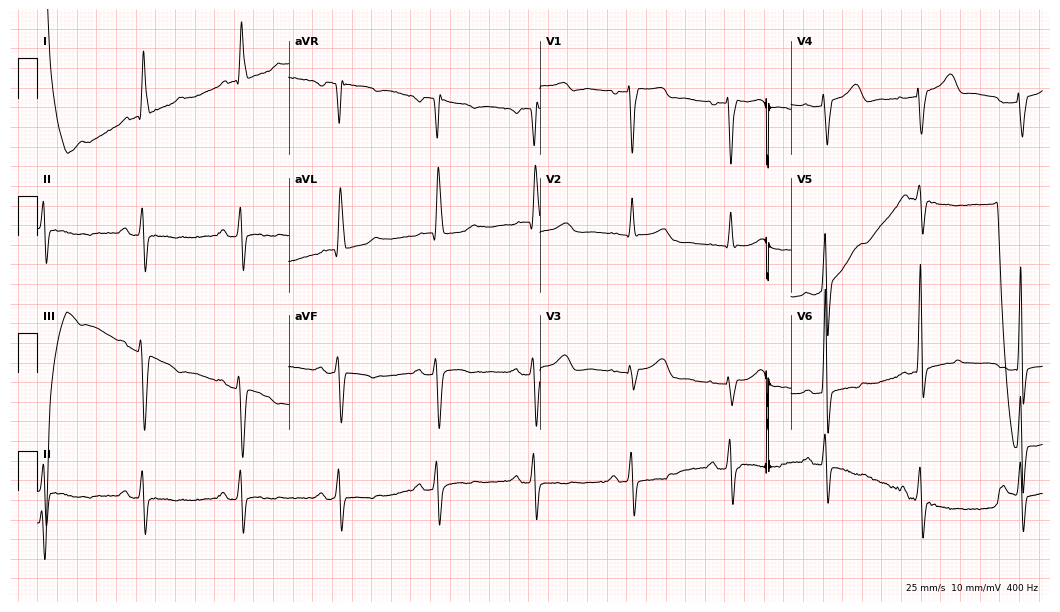
Electrocardiogram, a female patient, 83 years old. Interpretation includes right bundle branch block (RBBB).